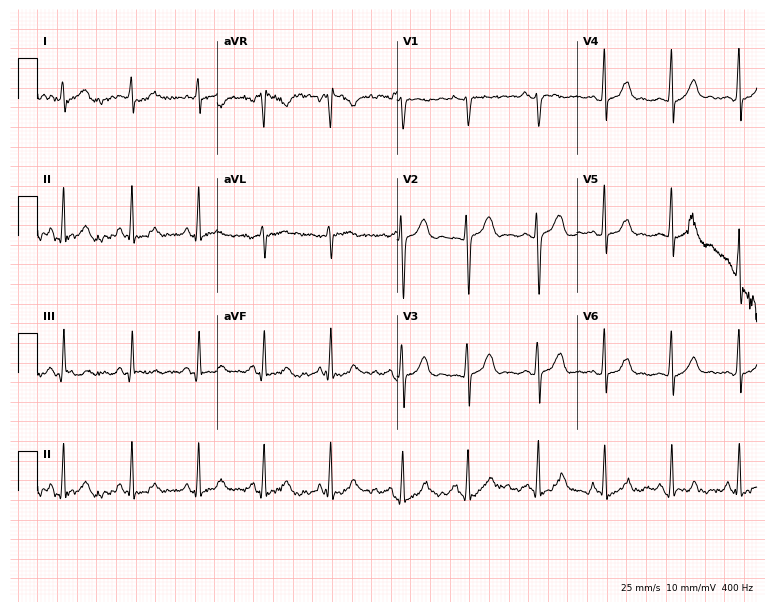
12-lead ECG from a 21-year-old woman. Screened for six findings — first-degree AV block, right bundle branch block (RBBB), left bundle branch block (LBBB), sinus bradycardia, atrial fibrillation (AF), sinus tachycardia — none is recorded.